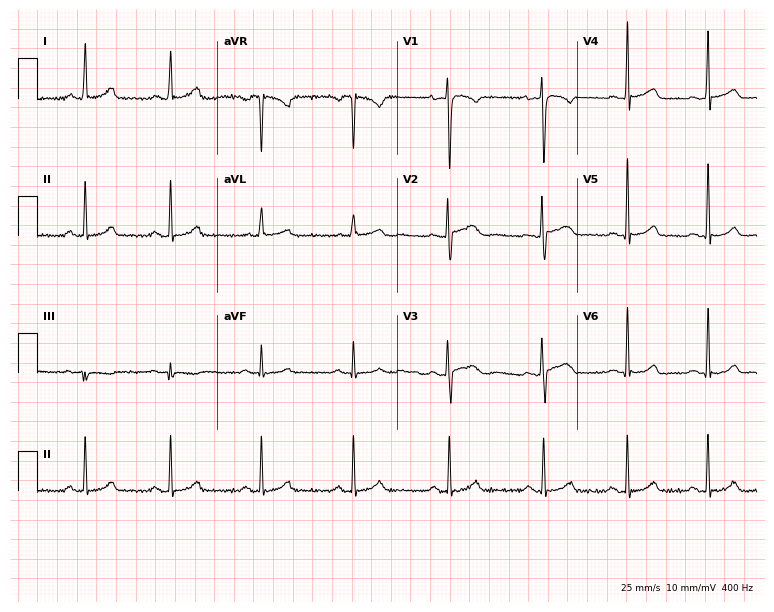
Resting 12-lead electrocardiogram (7.3-second recording at 400 Hz). Patient: a female, 32 years old. Read as a normal ECG.